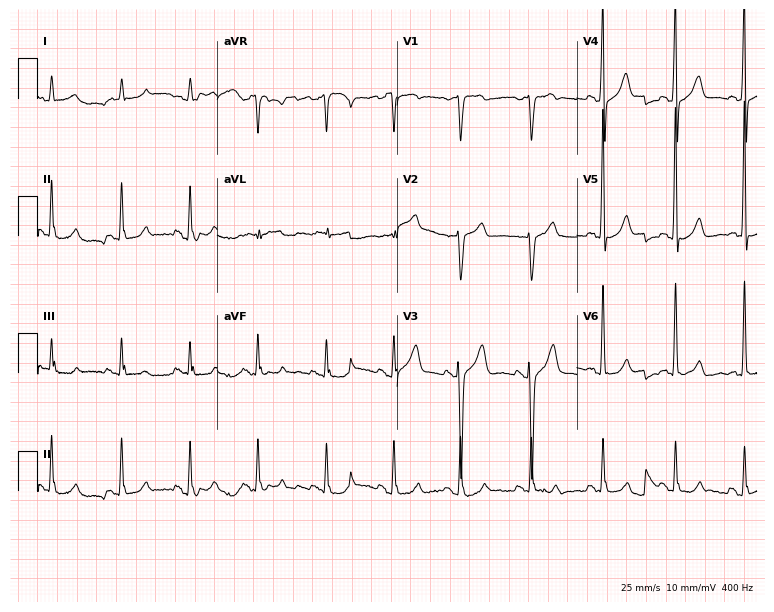
Resting 12-lead electrocardiogram. Patient: a male, 52 years old. Read as a normal ECG.